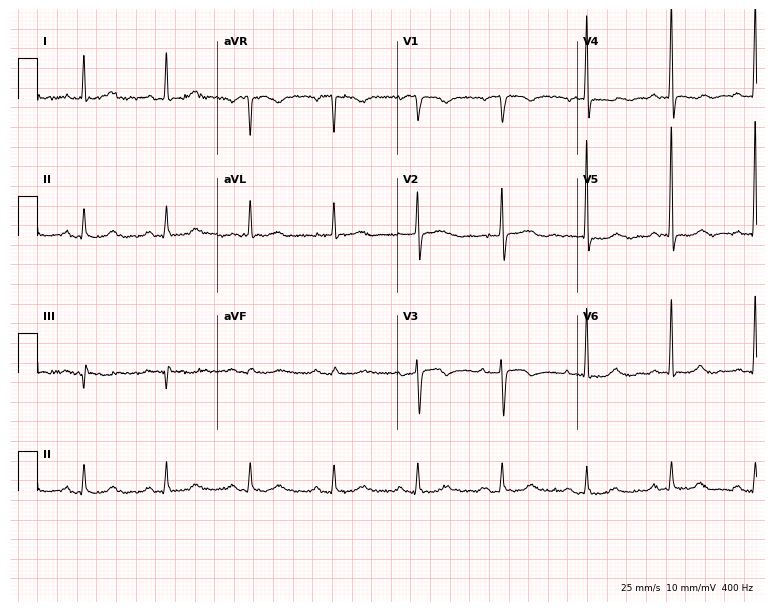
Standard 12-lead ECG recorded from a female, 73 years old (7.3-second recording at 400 Hz). None of these six findings is recorded: first-degree AV block, right bundle branch block, left bundle branch block, sinus bradycardia, atrial fibrillation, sinus tachycardia.